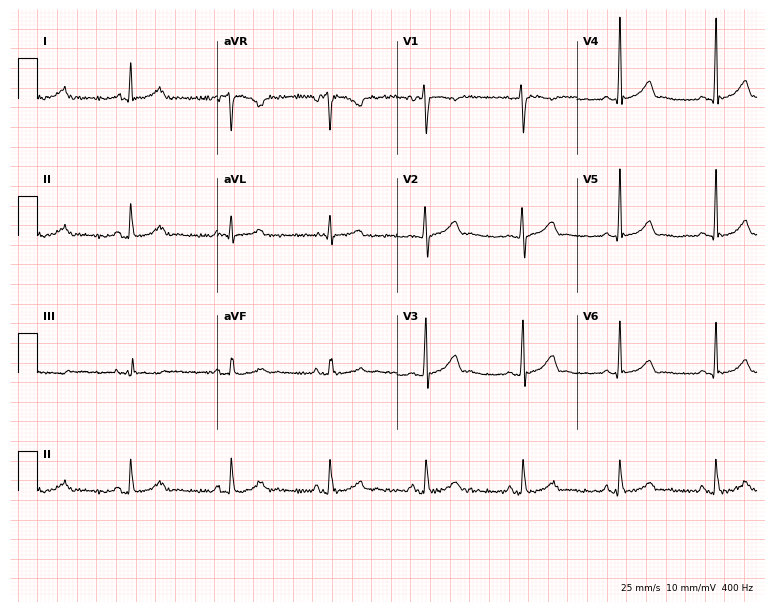
12-lead ECG (7.3-second recording at 400 Hz) from a 32-year-old female patient. Labelled as a normal ECG.